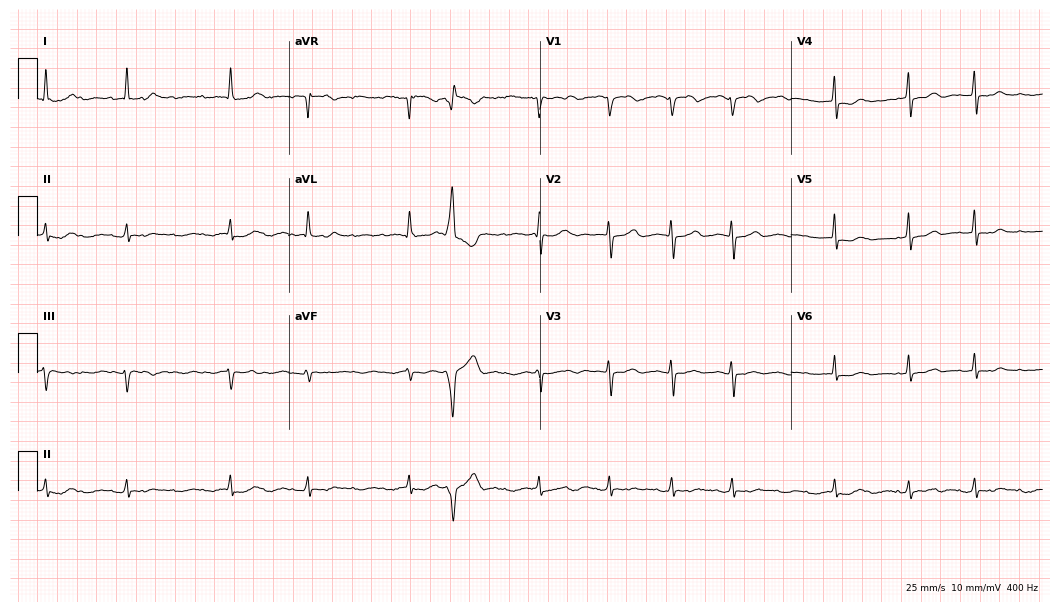
Resting 12-lead electrocardiogram. Patient: a 79-year-old woman. The tracing shows atrial fibrillation.